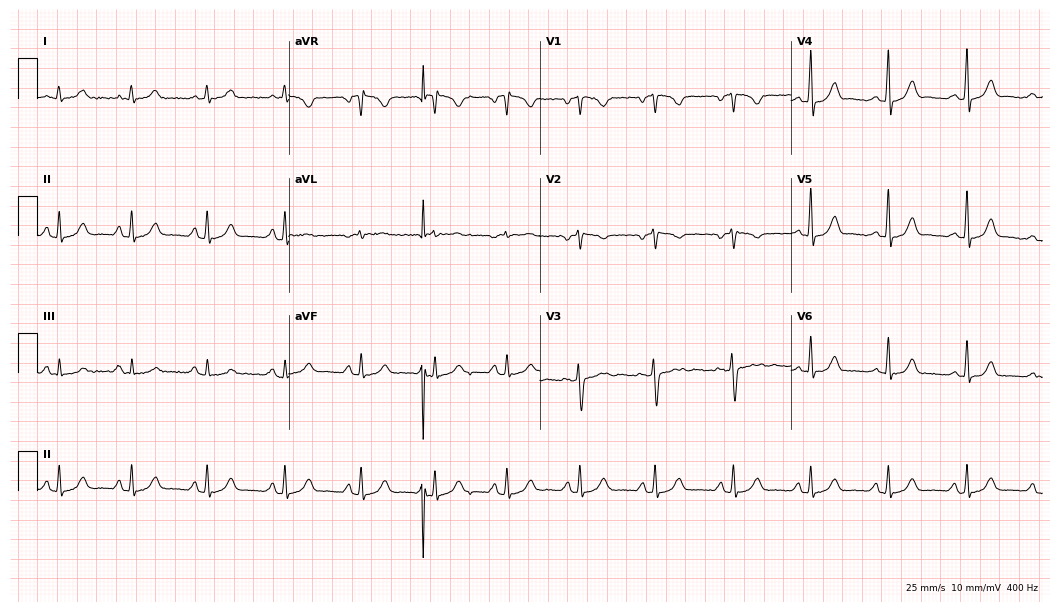
ECG (10.2-second recording at 400 Hz) — a woman, 31 years old. Labelled as a normal ECG.